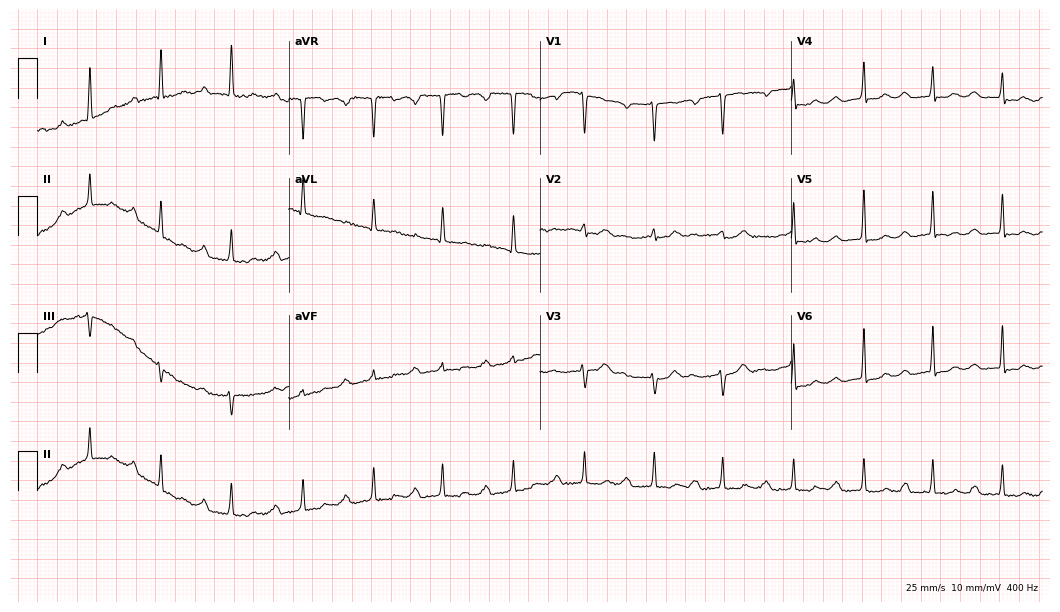
Electrocardiogram, a woman, 41 years old. Interpretation includes first-degree AV block.